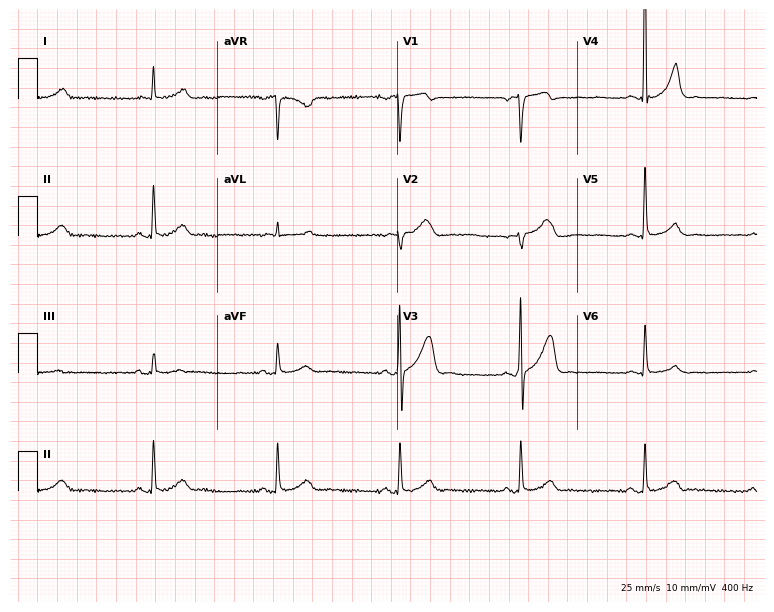
Electrocardiogram (7.3-second recording at 400 Hz), a 60-year-old male patient. Interpretation includes sinus bradycardia (a sinus rate of 50 beats per minute or less).